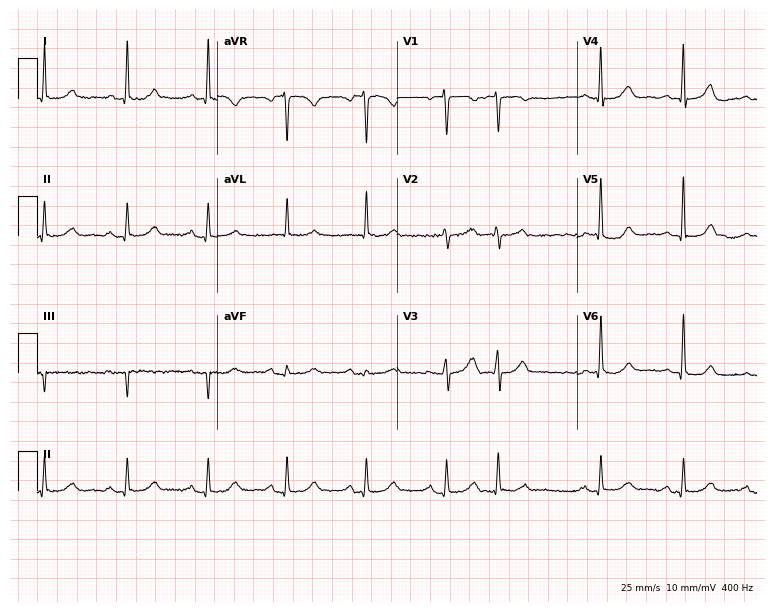
Resting 12-lead electrocardiogram. Patient: a 56-year-old woman. None of these six findings is recorded: first-degree AV block, right bundle branch block, left bundle branch block, sinus bradycardia, atrial fibrillation, sinus tachycardia. Findings outside these six are not listed.